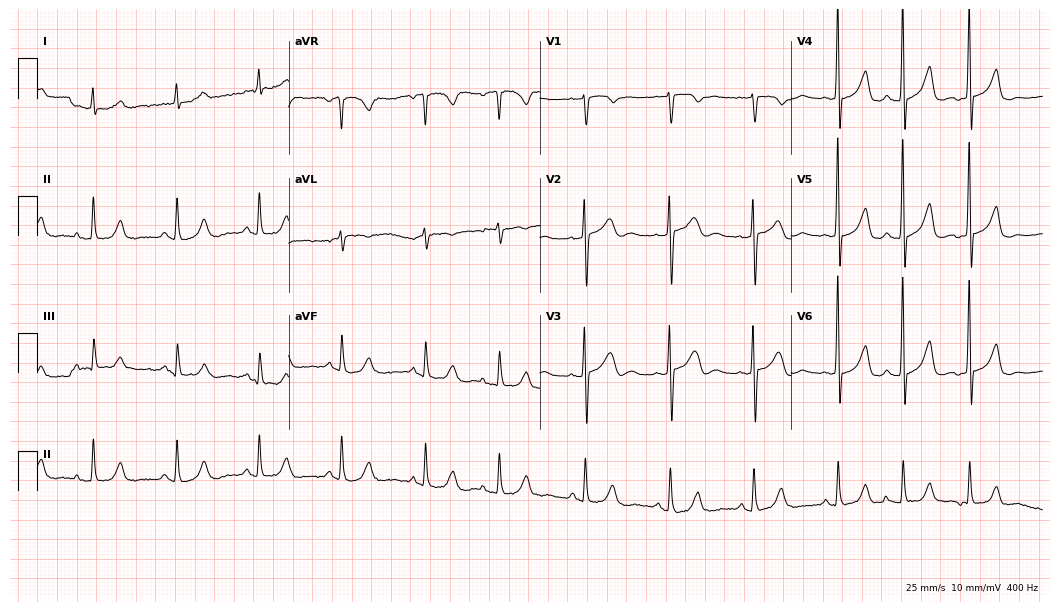
ECG — a 73-year-old male. Screened for six findings — first-degree AV block, right bundle branch block, left bundle branch block, sinus bradycardia, atrial fibrillation, sinus tachycardia — none is recorded. Other findings, if any, are not listed.